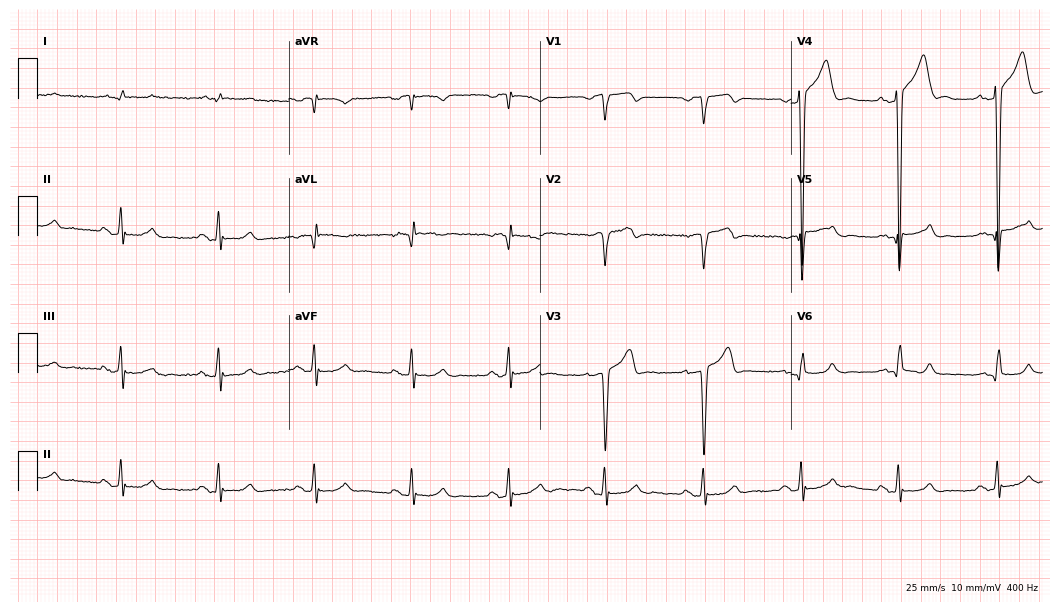
ECG (10.2-second recording at 400 Hz) — a male, 71 years old. Screened for six findings — first-degree AV block, right bundle branch block (RBBB), left bundle branch block (LBBB), sinus bradycardia, atrial fibrillation (AF), sinus tachycardia — none is recorded. Other findings, if any, are not listed.